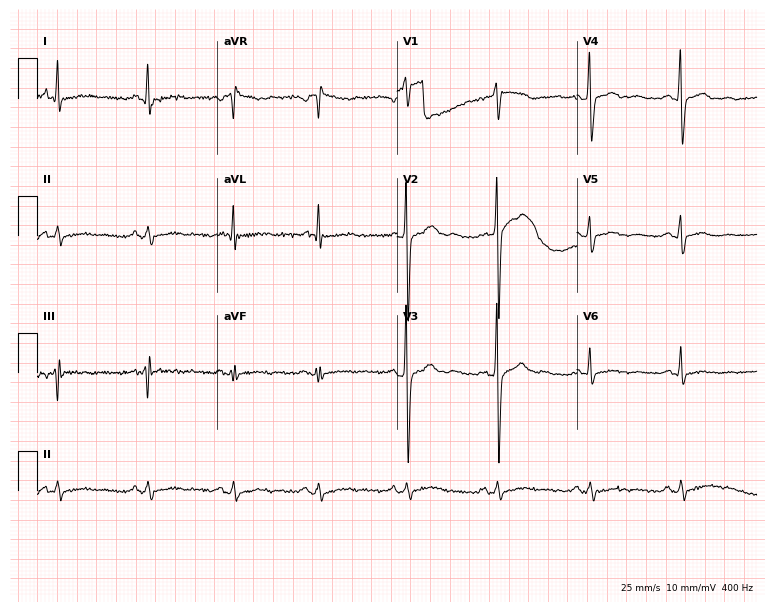
12-lead ECG from a 47-year-old man. No first-degree AV block, right bundle branch block (RBBB), left bundle branch block (LBBB), sinus bradycardia, atrial fibrillation (AF) or sinus tachycardia recorded for this tracing.